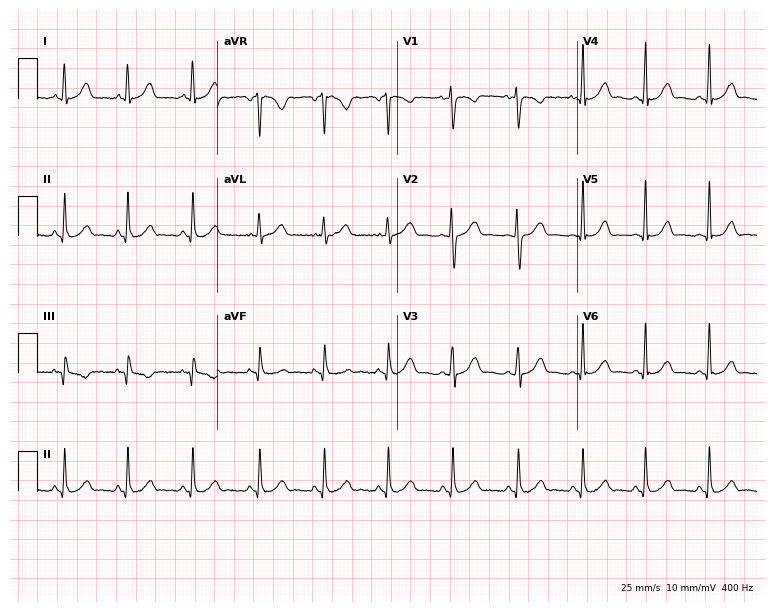
Standard 12-lead ECG recorded from a woman, 38 years old (7.3-second recording at 400 Hz). Read as a normal ECG.